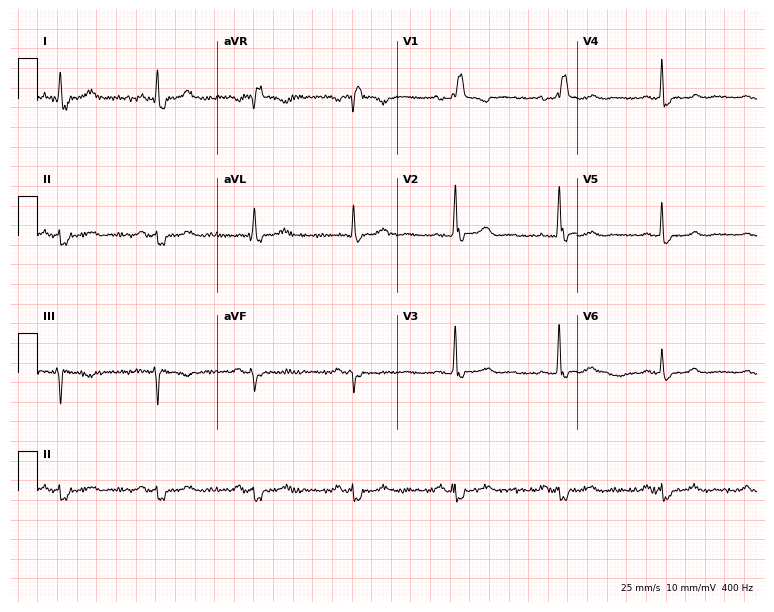
Standard 12-lead ECG recorded from a 63-year-old female. The tracing shows right bundle branch block (RBBB).